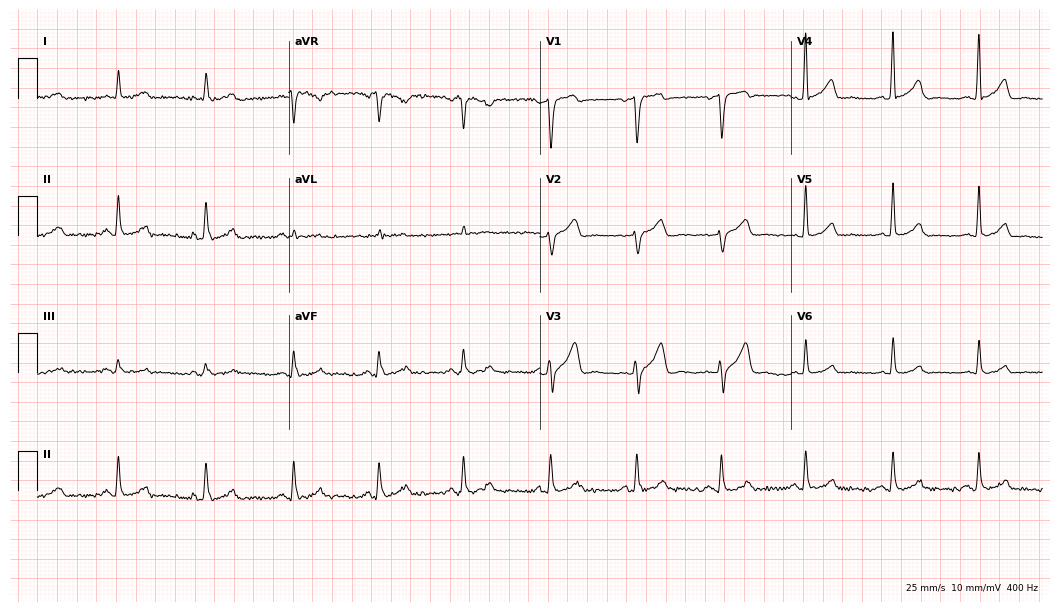
12-lead ECG (10.2-second recording at 400 Hz) from a man, 50 years old. Labelled as a normal ECG.